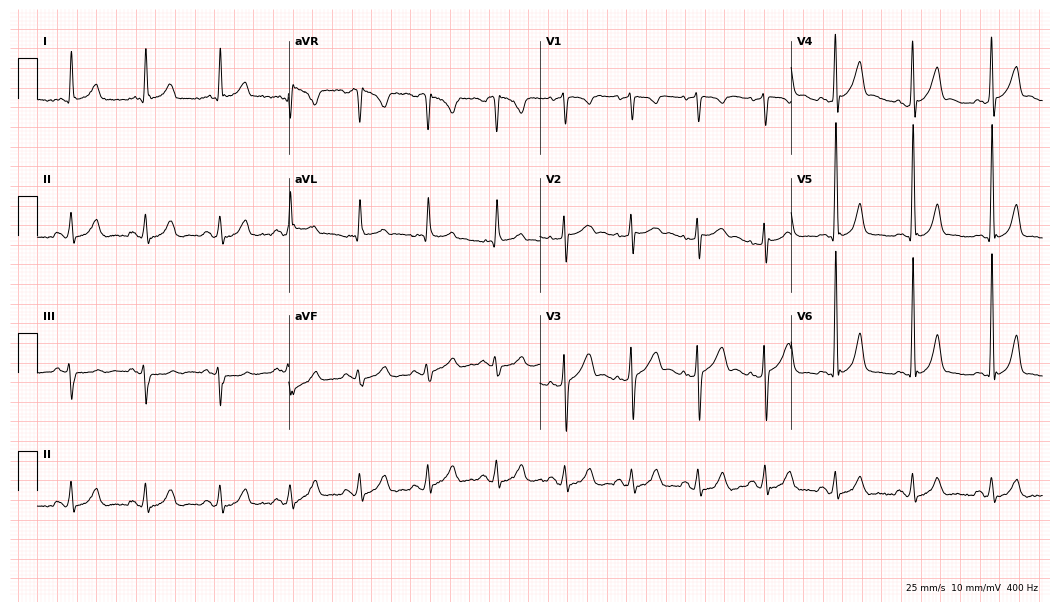
Electrocardiogram (10.2-second recording at 400 Hz), a male, 42 years old. Of the six screened findings (first-degree AV block, right bundle branch block (RBBB), left bundle branch block (LBBB), sinus bradycardia, atrial fibrillation (AF), sinus tachycardia), none is recorded.